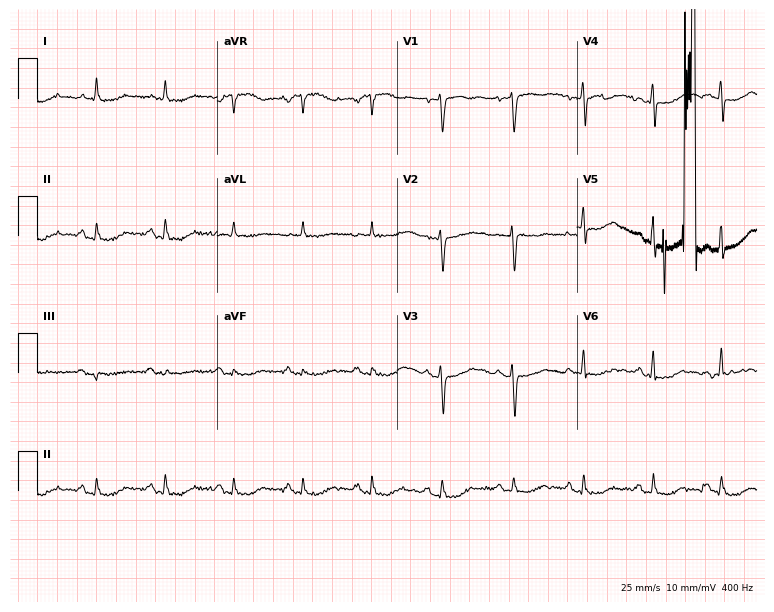
12-lead ECG from a female patient, 52 years old. Screened for six findings — first-degree AV block, right bundle branch block, left bundle branch block, sinus bradycardia, atrial fibrillation, sinus tachycardia — none is recorded. Findings outside these six are not listed.